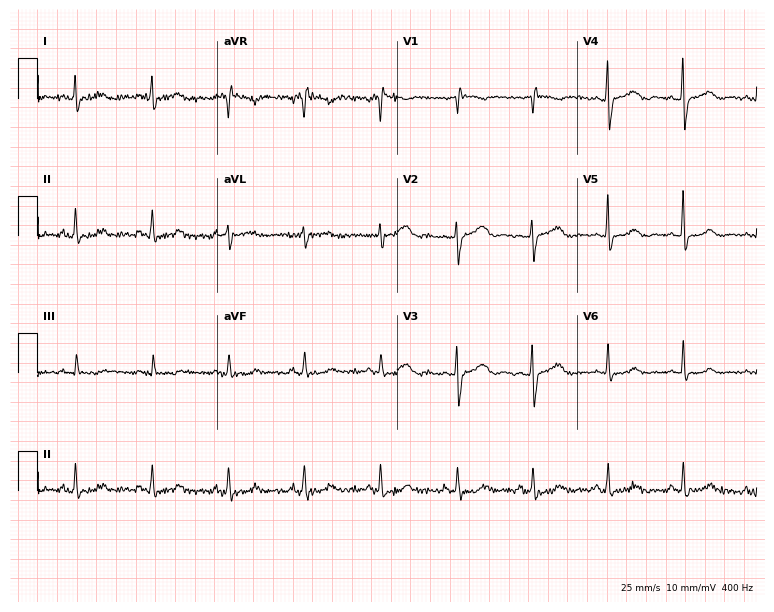
Standard 12-lead ECG recorded from a female patient, 42 years old (7.3-second recording at 400 Hz). None of these six findings is recorded: first-degree AV block, right bundle branch block (RBBB), left bundle branch block (LBBB), sinus bradycardia, atrial fibrillation (AF), sinus tachycardia.